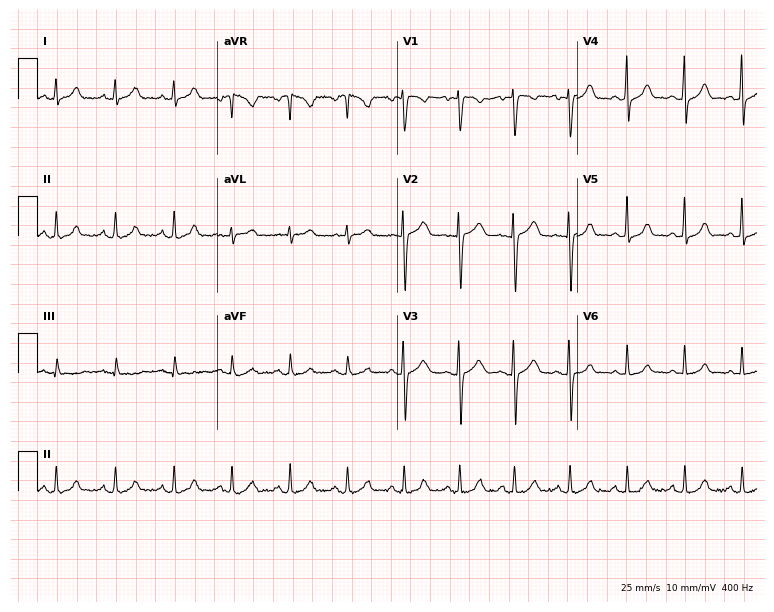
Electrocardiogram, a female, 28 years old. Overall reading on record: normal ECG.